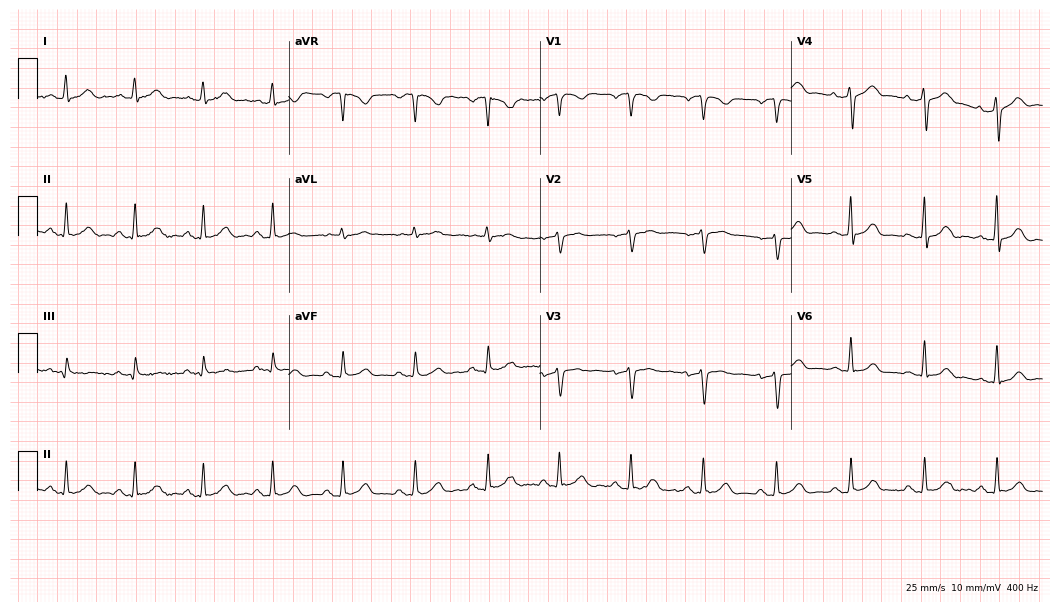
12-lead ECG (10.2-second recording at 400 Hz) from a 66-year-old female patient. Labelled as a normal ECG.